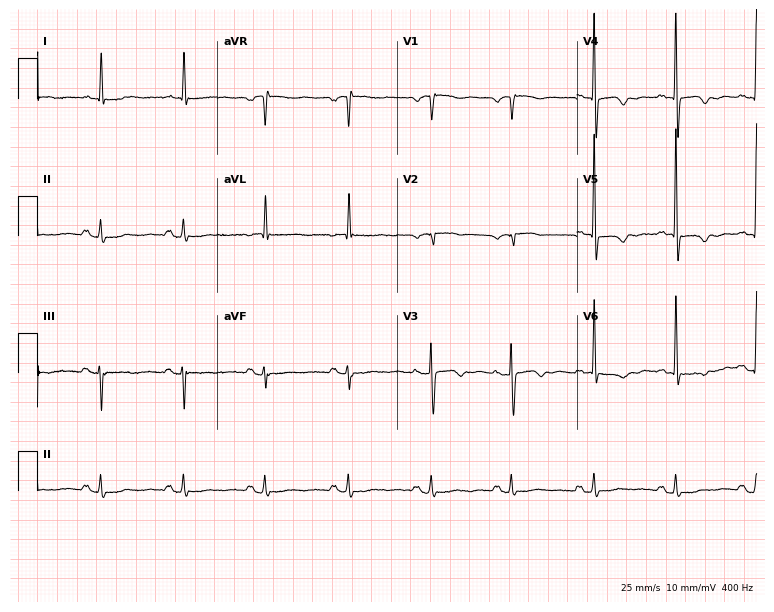
Standard 12-lead ECG recorded from a 79-year-old female. None of these six findings is recorded: first-degree AV block, right bundle branch block, left bundle branch block, sinus bradycardia, atrial fibrillation, sinus tachycardia.